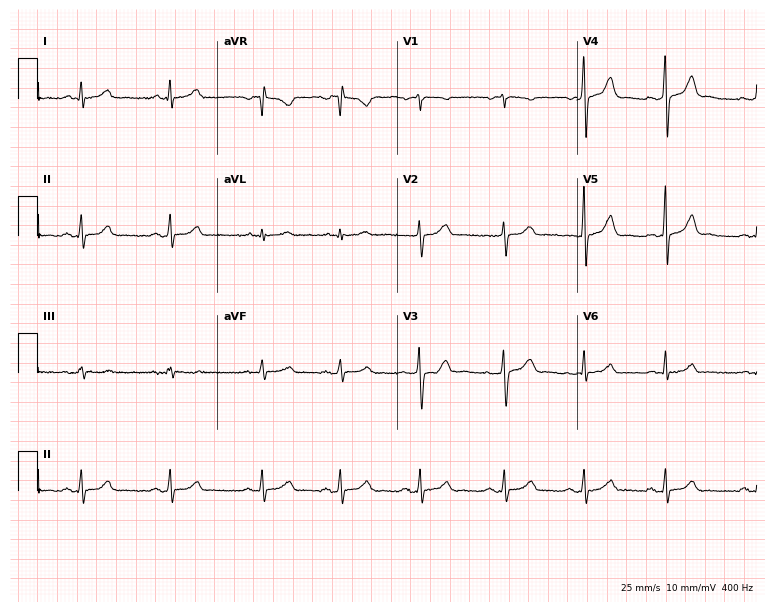
ECG (7.3-second recording at 400 Hz) — a 24-year-old female patient. Labelled as a normal ECG.